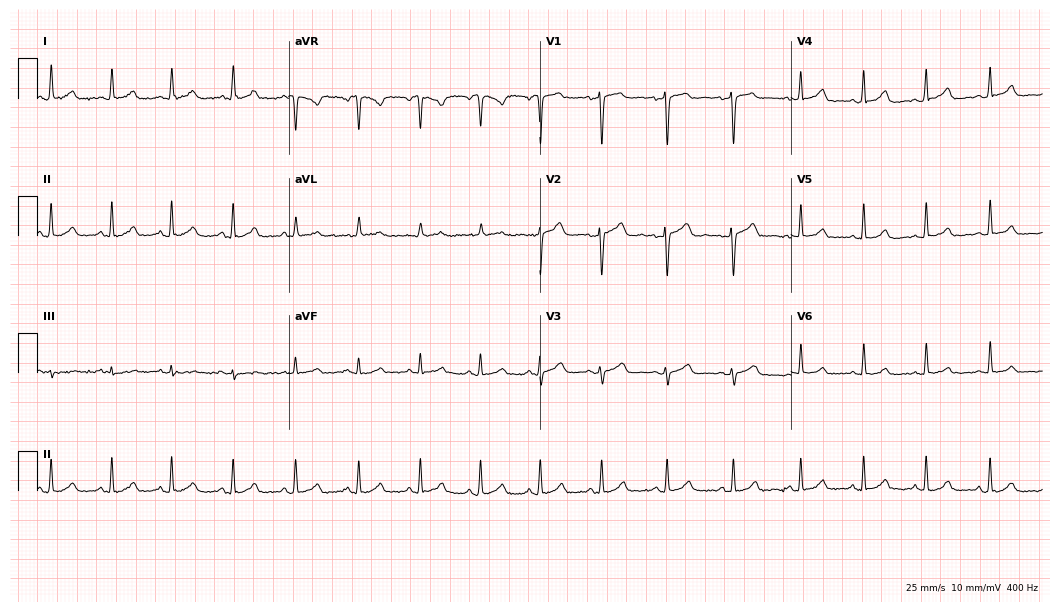
Resting 12-lead electrocardiogram. Patient: a female, 31 years old. Read as a normal ECG.